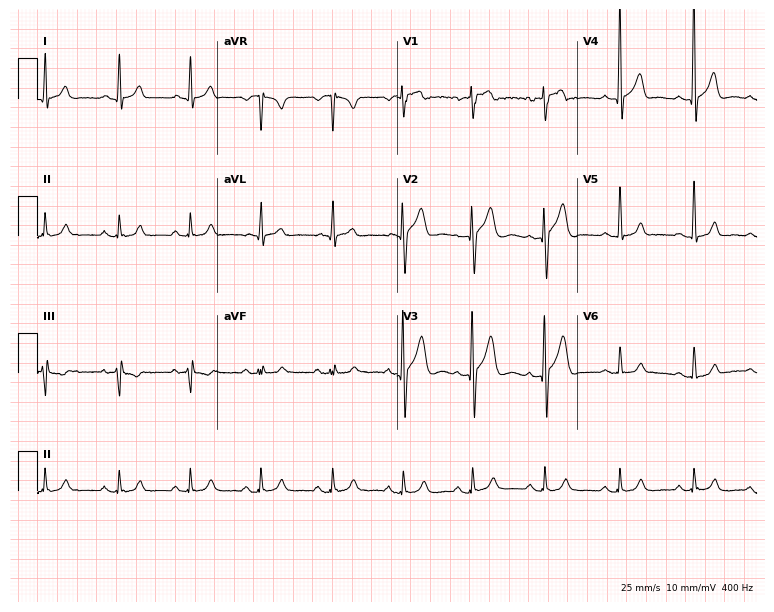
Electrocardiogram (7.3-second recording at 400 Hz), a 41-year-old man. Of the six screened findings (first-degree AV block, right bundle branch block (RBBB), left bundle branch block (LBBB), sinus bradycardia, atrial fibrillation (AF), sinus tachycardia), none is recorded. Other findings, if any, are not listed.